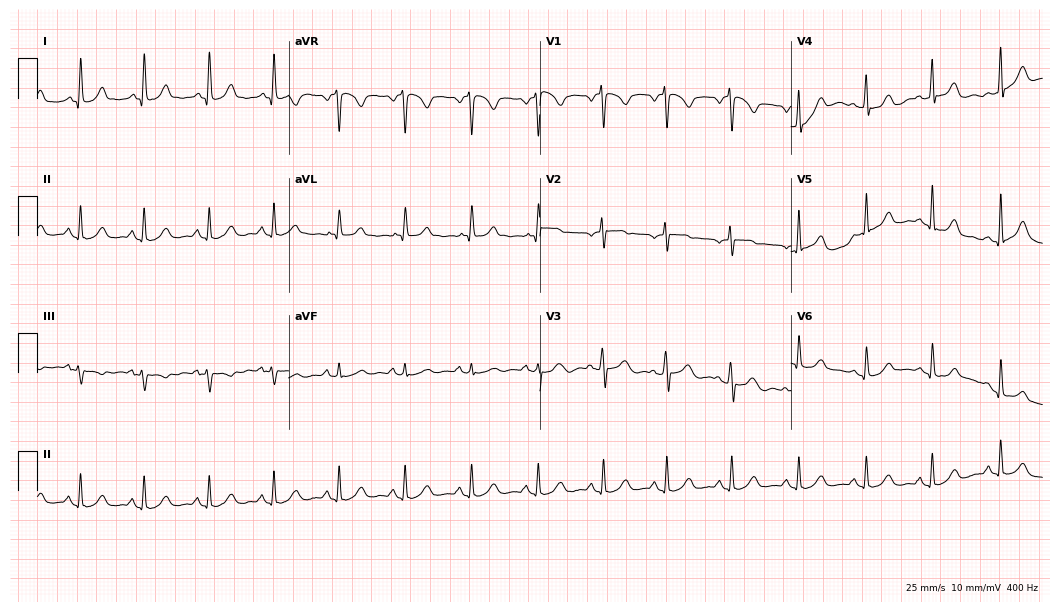
Standard 12-lead ECG recorded from a 45-year-old woman. Read as a normal ECG.